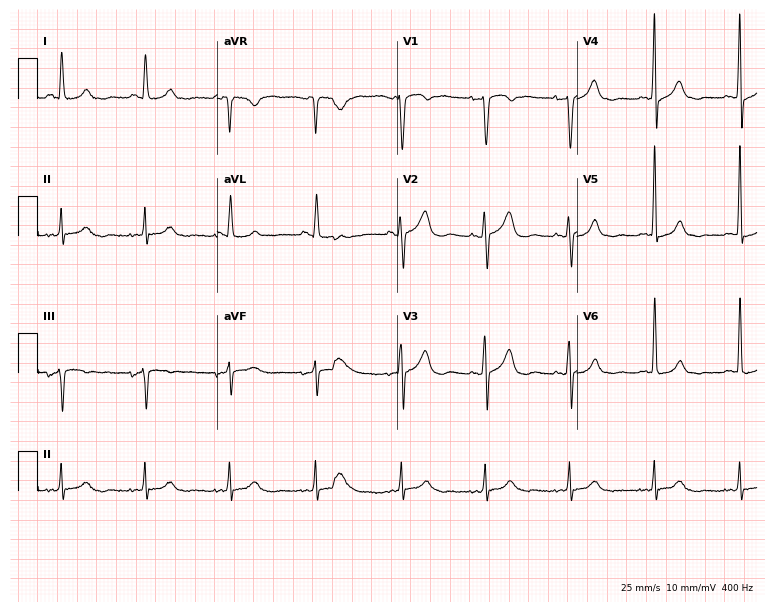
Resting 12-lead electrocardiogram (7.3-second recording at 400 Hz). Patient: a 43-year-old female. None of these six findings is recorded: first-degree AV block, right bundle branch block, left bundle branch block, sinus bradycardia, atrial fibrillation, sinus tachycardia.